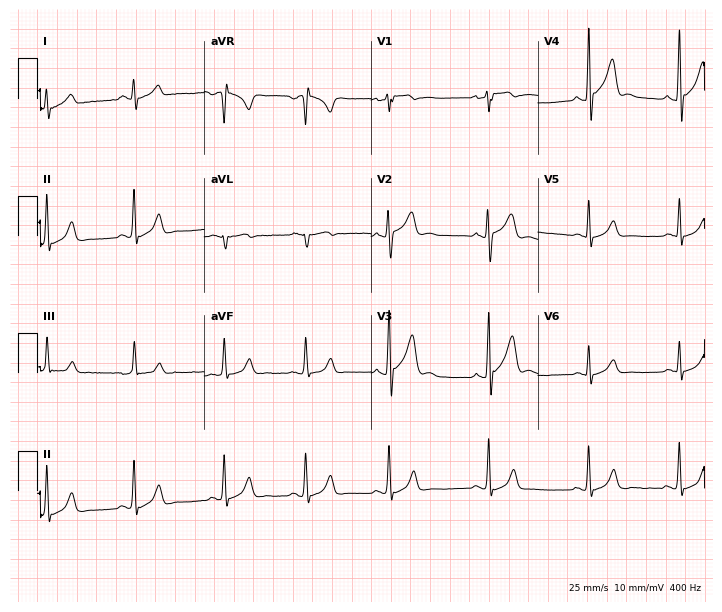
Resting 12-lead electrocardiogram. Patient: a man, 23 years old. None of these six findings is recorded: first-degree AV block, right bundle branch block, left bundle branch block, sinus bradycardia, atrial fibrillation, sinus tachycardia.